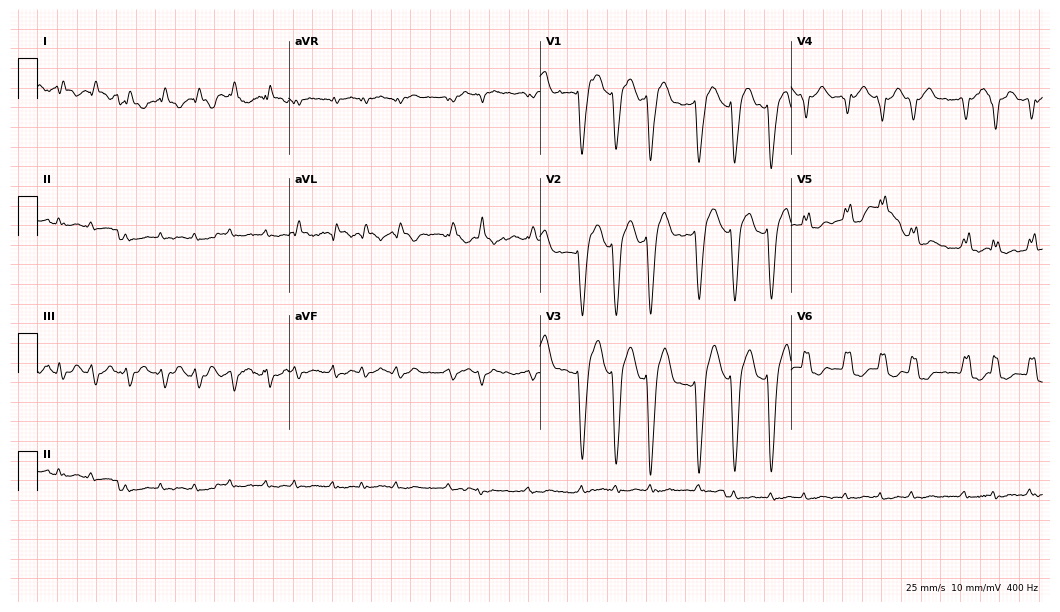
12-lead ECG (10.2-second recording at 400 Hz) from an 81-year-old woman. Findings include left bundle branch block, atrial fibrillation.